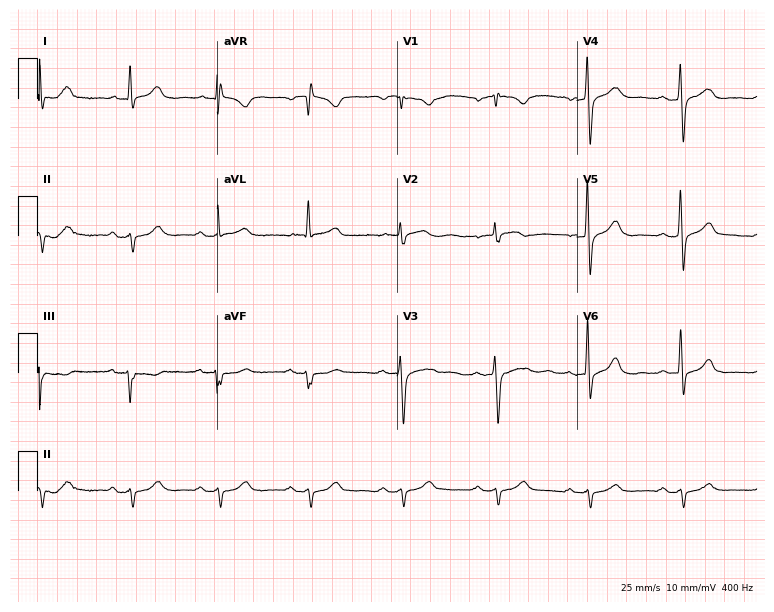
12-lead ECG (7.3-second recording at 400 Hz) from a male, 62 years old. Screened for six findings — first-degree AV block, right bundle branch block, left bundle branch block, sinus bradycardia, atrial fibrillation, sinus tachycardia — none is recorded. Findings outside these six are not listed.